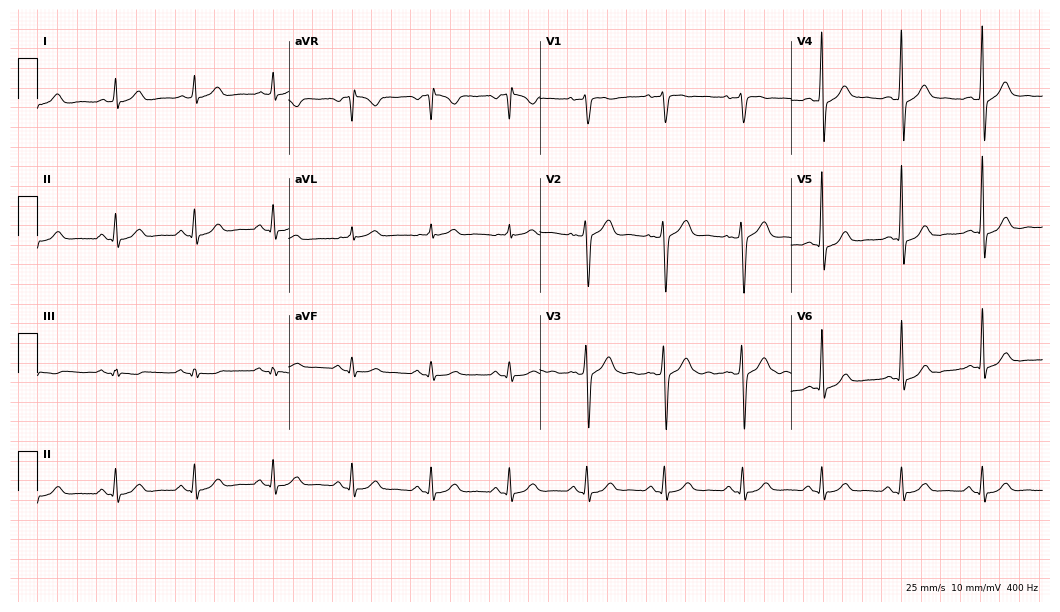
12-lead ECG from a male, 49 years old. Recorded interpretation: within normal limits.